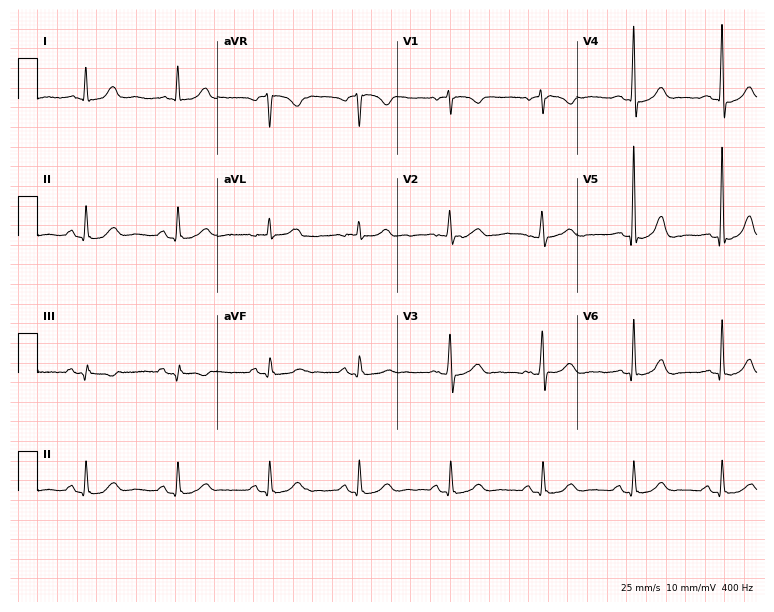
12-lead ECG (7.3-second recording at 400 Hz) from a 56-year-old female. Labelled as a normal ECG.